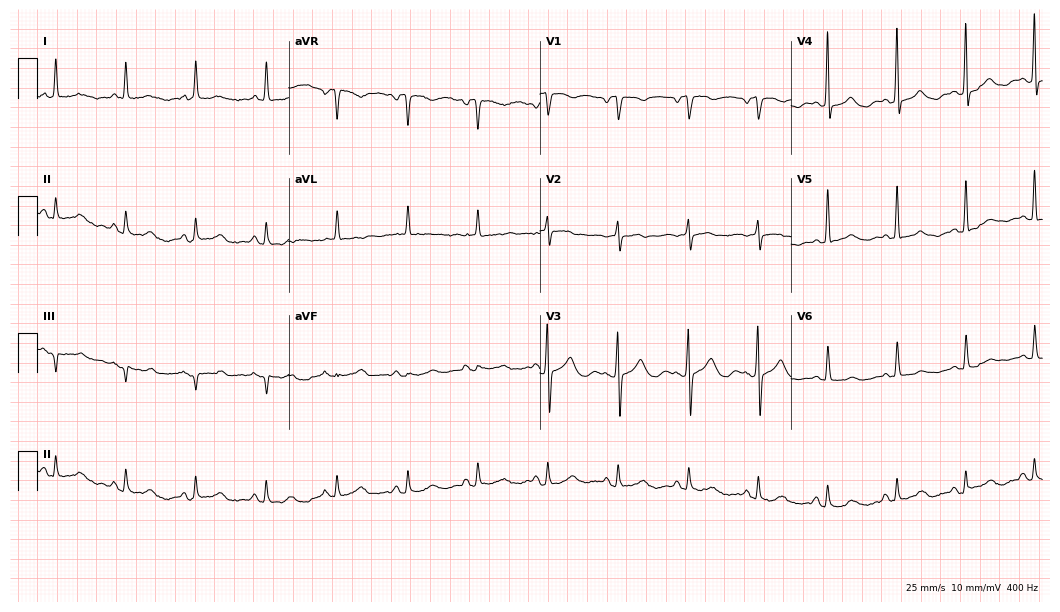
ECG — a 74-year-old woman. Labelled as a normal ECG.